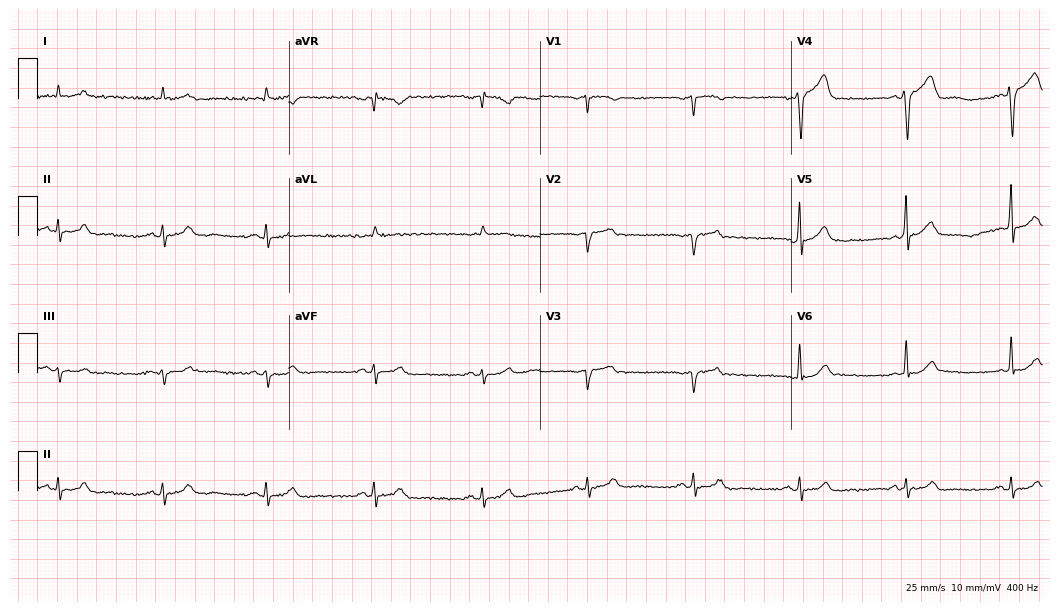
Electrocardiogram (10.2-second recording at 400 Hz), a 73-year-old man. Of the six screened findings (first-degree AV block, right bundle branch block (RBBB), left bundle branch block (LBBB), sinus bradycardia, atrial fibrillation (AF), sinus tachycardia), none is recorded. Findings outside these six are not listed.